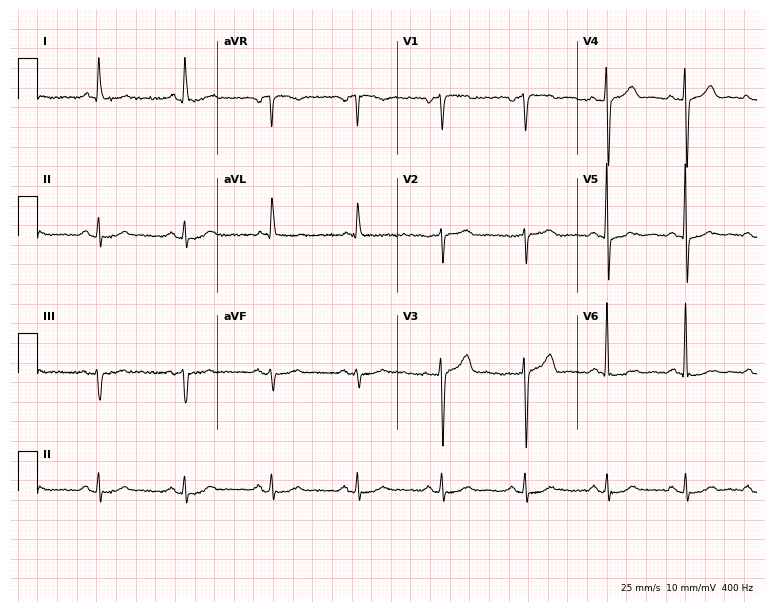
12-lead ECG (7.3-second recording at 400 Hz) from a male, 80 years old. Screened for six findings — first-degree AV block, right bundle branch block (RBBB), left bundle branch block (LBBB), sinus bradycardia, atrial fibrillation (AF), sinus tachycardia — none is recorded. Findings outside these six are not listed.